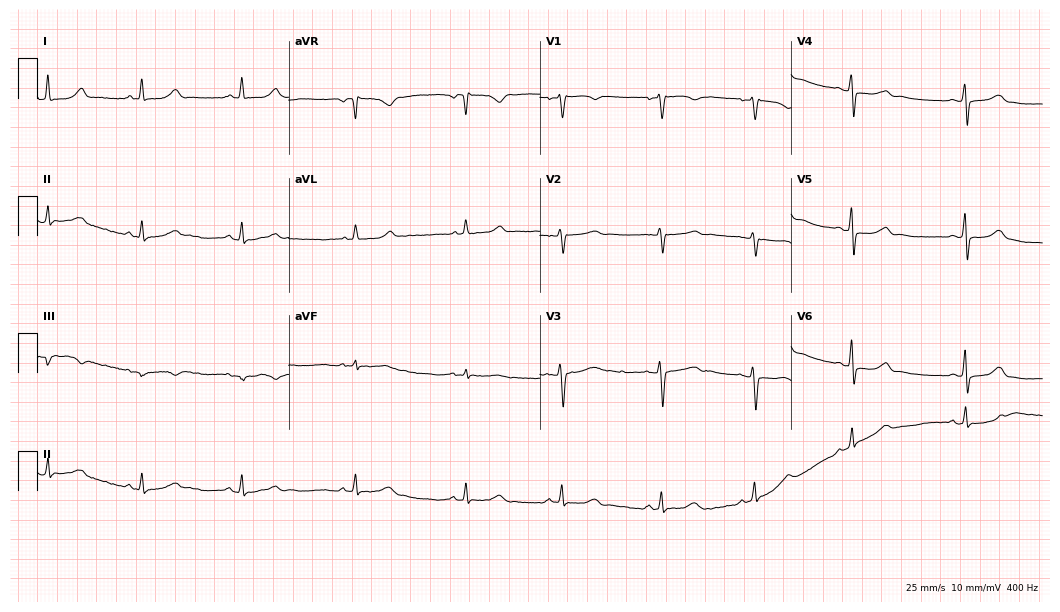
Standard 12-lead ECG recorded from a woman, 40 years old (10.2-second recording at 400 Hz). Read as a normal ECG.